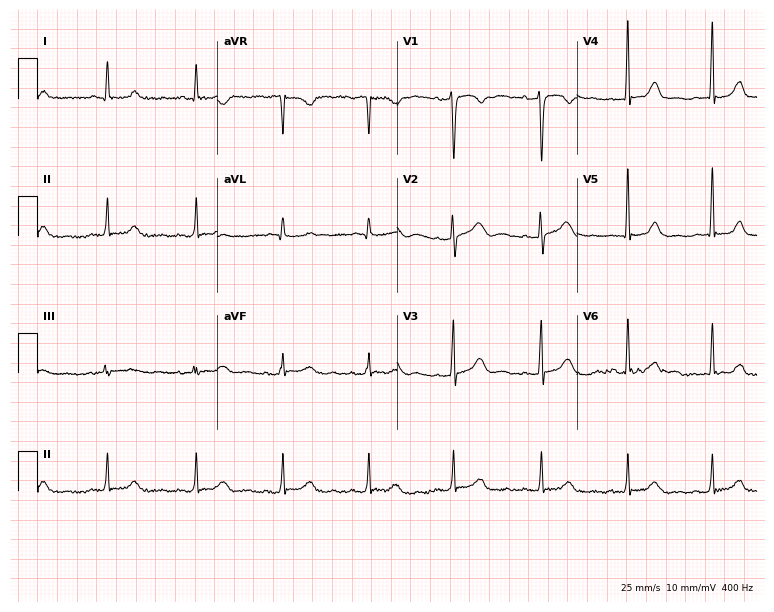
ECG (7.3-second recording at 400 Hz) — a 41-year-old female patient. Labelled as a normal ECG.